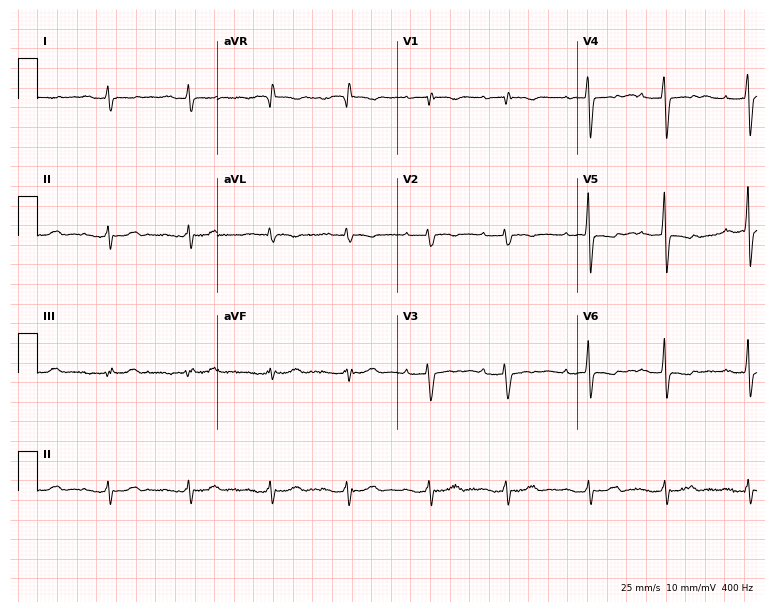
12-lead ECG from a male patient, 74 years old. No first-degree AV block, right bundle branch block (RBBB), left bundle branch block (LBBB), sinus bradycardia, atrial fibrillation (AF) or sinus tachycardia recorded for this tracing.